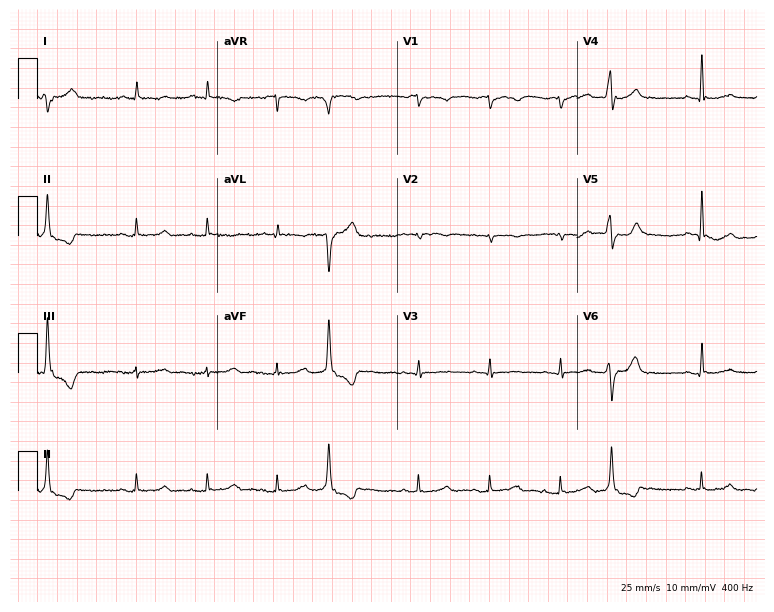
12-lead ECG (7.3-second recording at 400 Hz) from a female patient, 80 years old. Screened for six findings — first-degree AV block, right bundle branch block, left bundle branch block, sinus bradycardia, atrial fibrillation, sinus tachycardia — none is recorded. Findings outside these six are not listed.